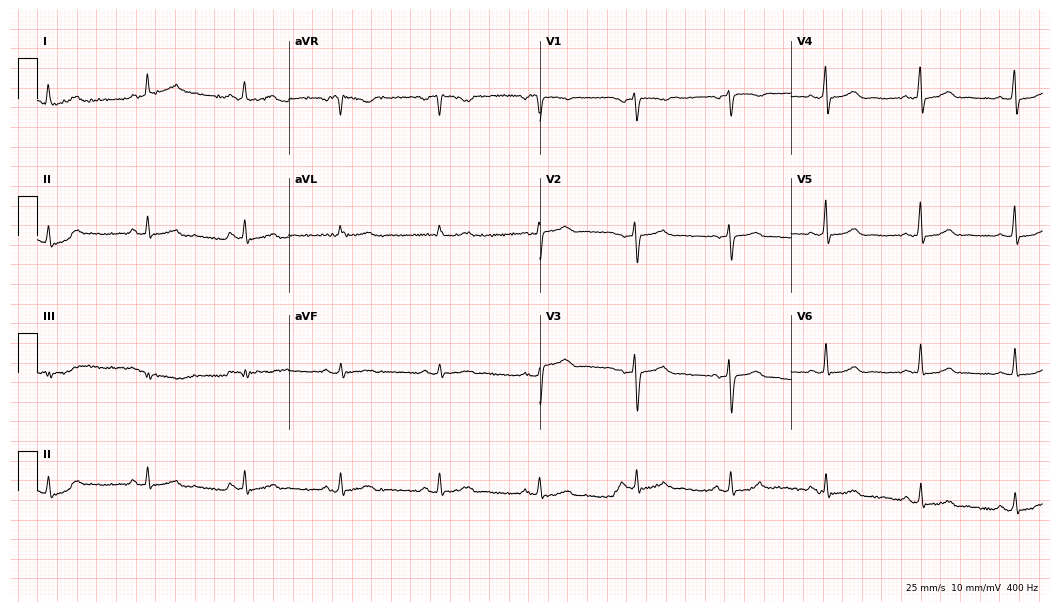
Resting 12-lead electrocardiogram (10.2-second recording at 400 Hz). Patient: a female, 49 years old. Read as a normal ECG.